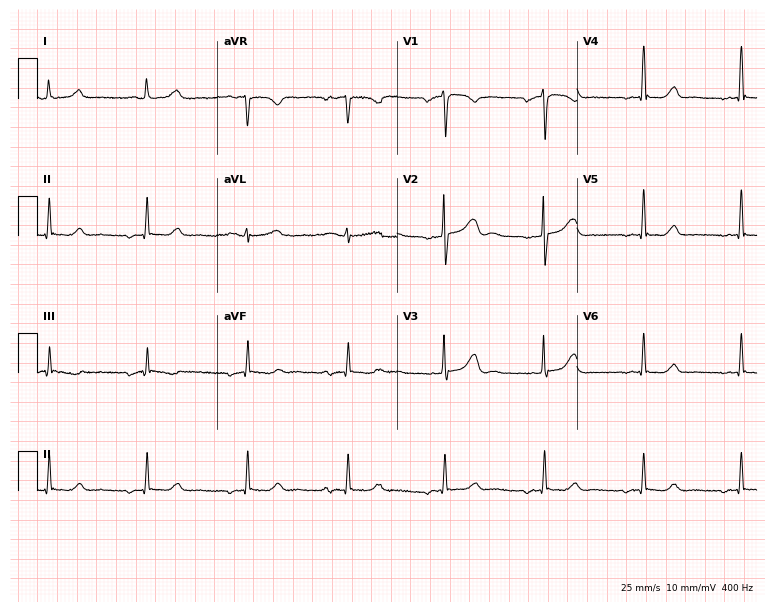
12-lead ECG (7.3-second recording at 400 Hz) from a woman, 29 years old. Screened for six findings — first-degree AV block, right bundle branch block, left bundle branch block, sinus bradycardia, atrial fibrillation, sinus tachycardia — none is recorded. Other findings, if any, are not listed.